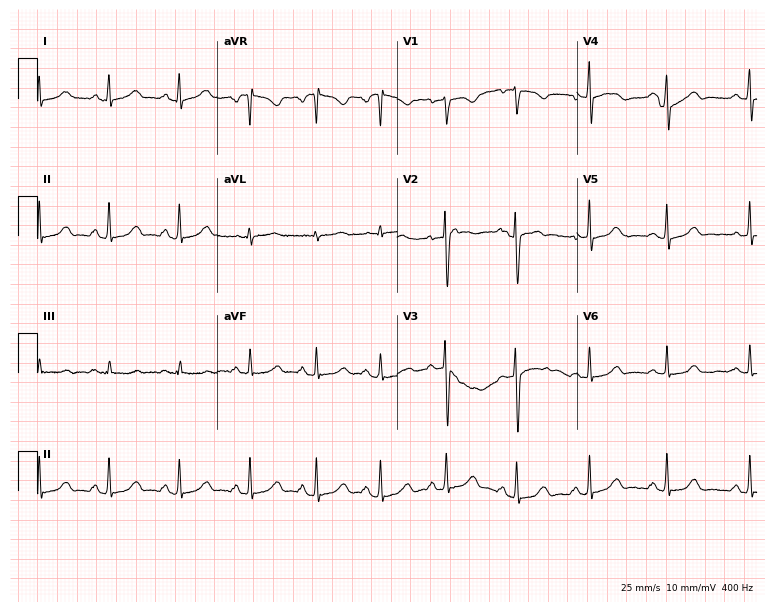
Resting 12-lead electrocardiogram. Patient: a female, 24 years old. Read as a normal ECG.